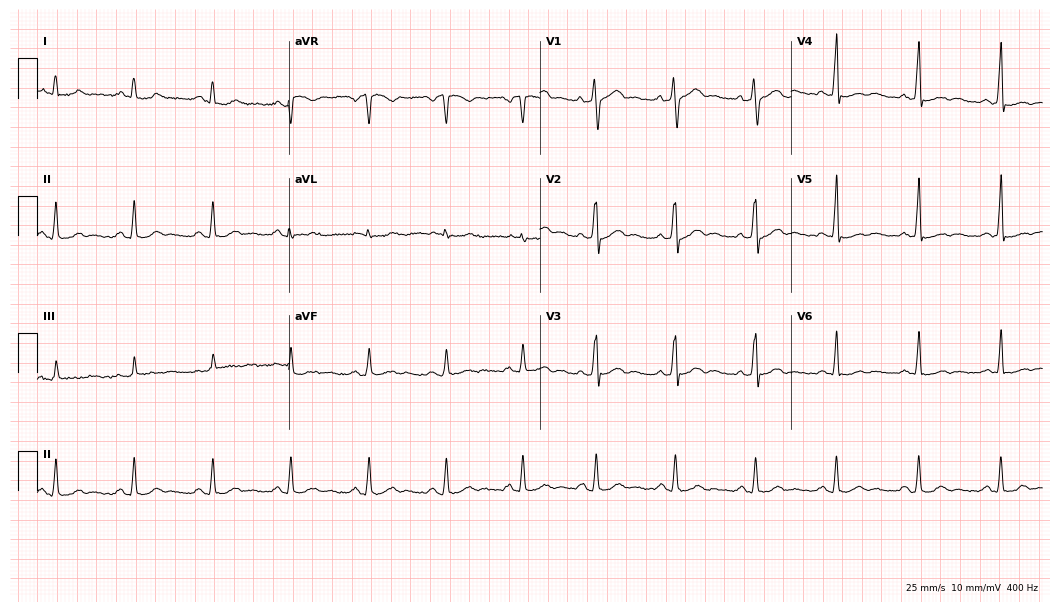
Electrocardiogram (10.2-second recording at 400 Hz), a man, 31 years old. Of the six screened findings (first-degree AV block, right bundle branch block, left bundle branch block, sinus bradycardia, atrial fibrillation, sinus tachycardia), none is recorded.